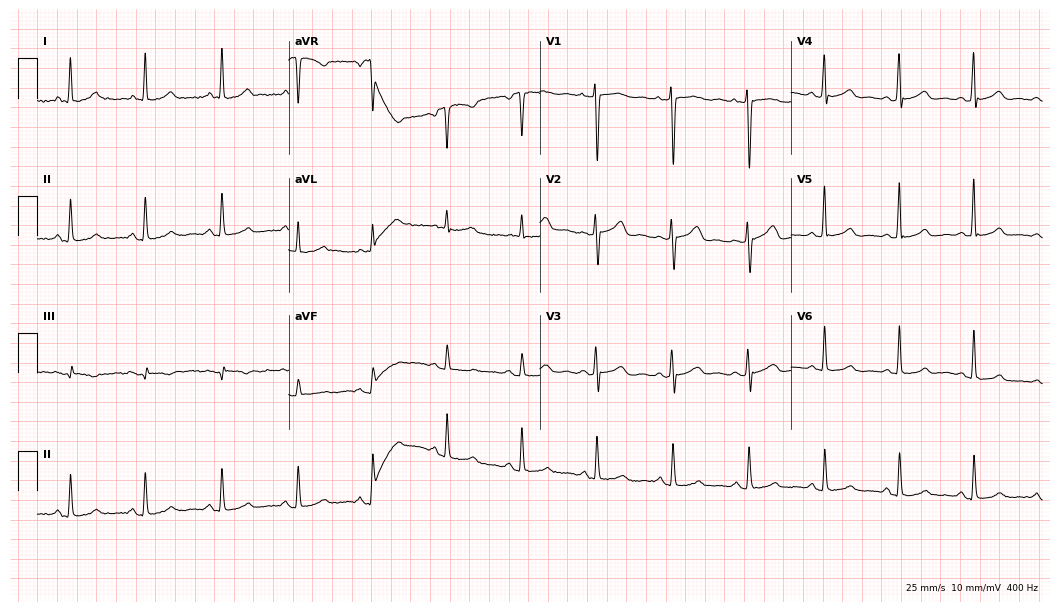
ECG (10.2-second recording at 400 Hz) — a 63-year-old female. Labelled as a normal ECG.